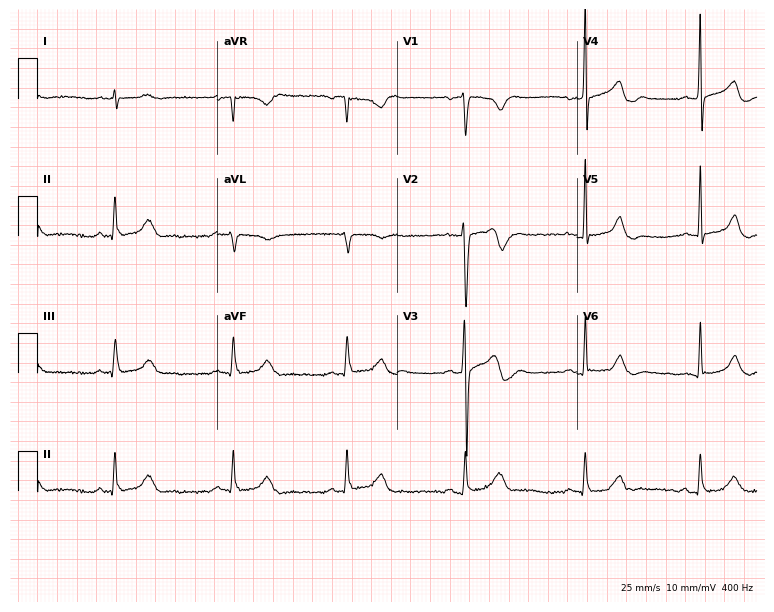
Electrocardiogram (7.3-second recording at 400 Hz), a 40-year-old male. Interpretation includes sinus bradycardia (a sinus rate of 50 beats per minute or less).